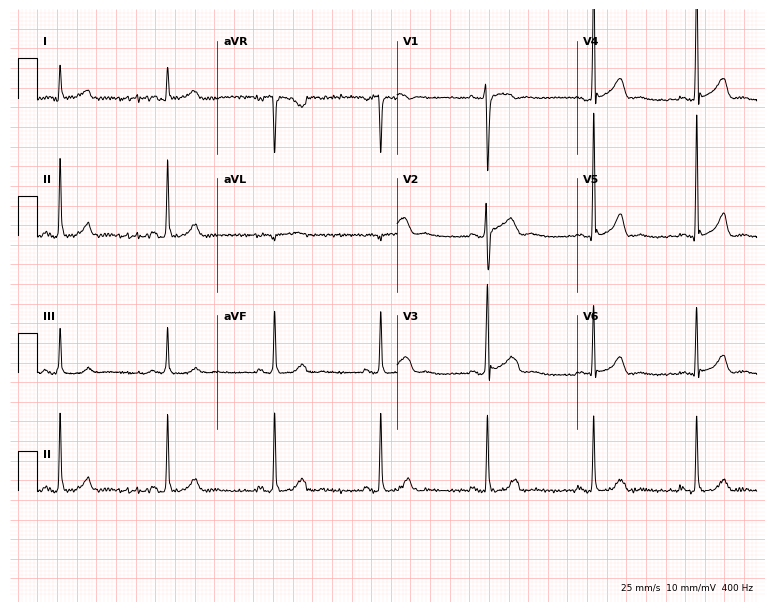
Standard 12-lead ECG recorded from a male, 29 years old (7.3-second recording at 400 Hz). Read as a normal ECG.